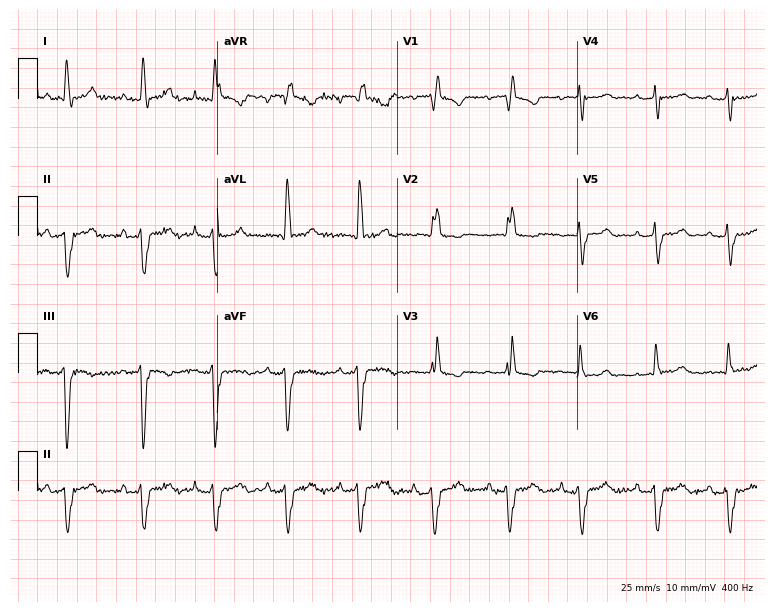
12-lead ECG from a 60-year-old female. Findings include right bundle branch block (RBBB).